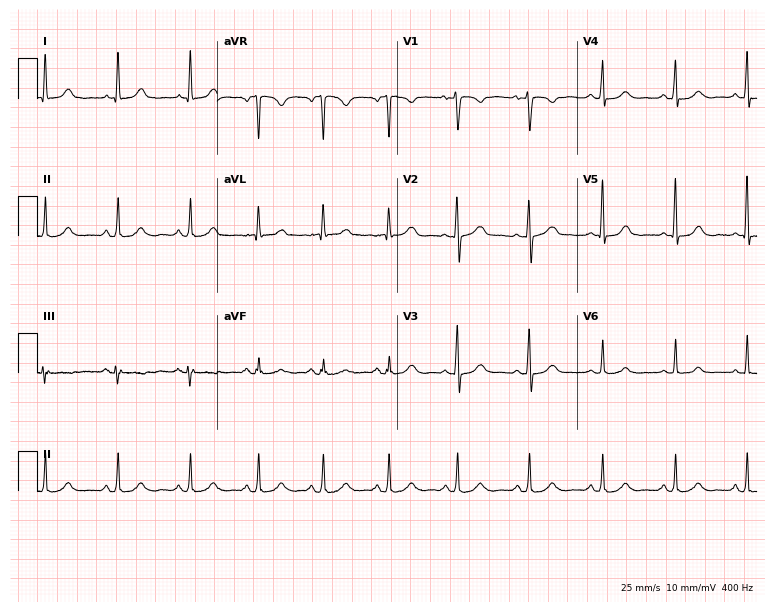
ECG — a 56-year-old female patient. Labelled as a normal ECG.